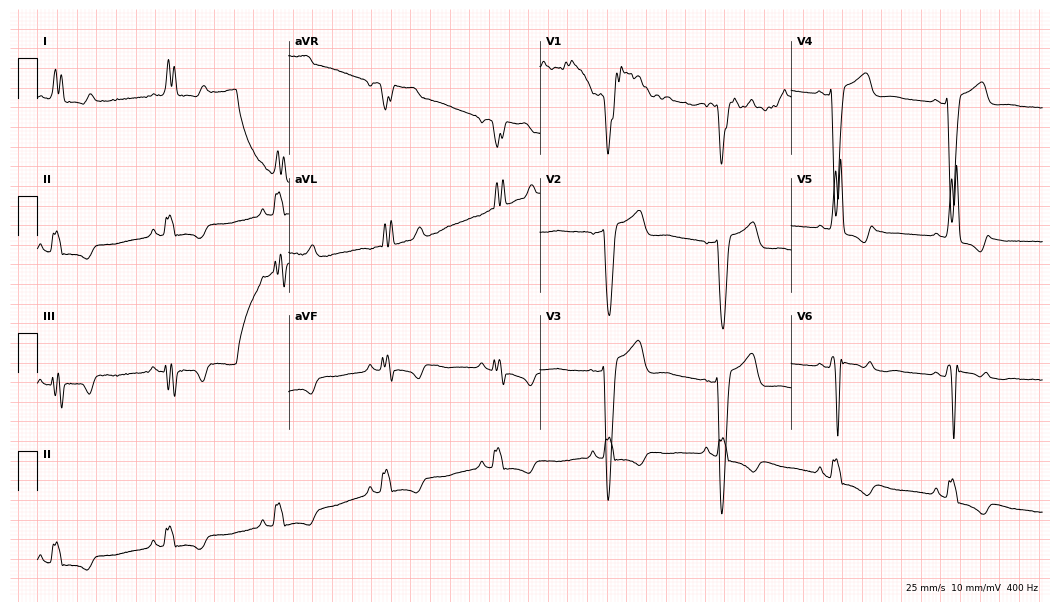
Standard 12-lead ECG recorded from a female patient, 69 years old (10.2-second recording at 400 Hz). The tracing shows left bundle branch block (LBBB).